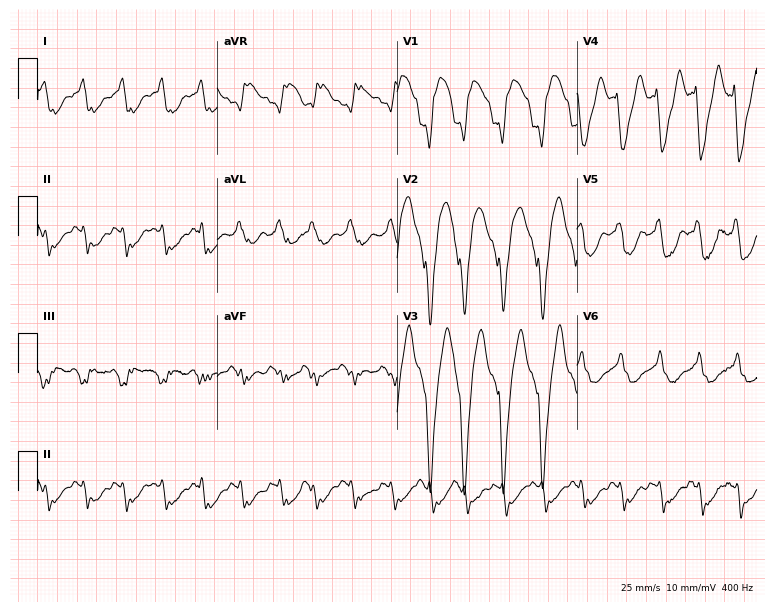
12-lead ECG from a female patient, 79 years old. Findings include sinus tachycardia (a sinus rate of 100 beats per minute or more).